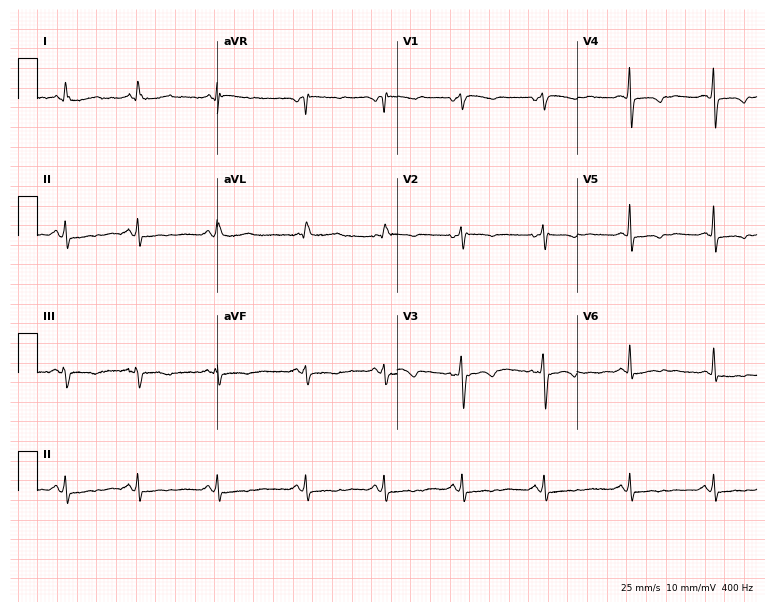
Standard 12-lead ECG recorded from a 44-year-old female (7.3-second recording at 400 Hz). None of these six findings is recorded: first-degree AV block, right bundle branch block, left bundle branch block, sinus bradycardia, atrial fibrillation, sinus tachycardia.